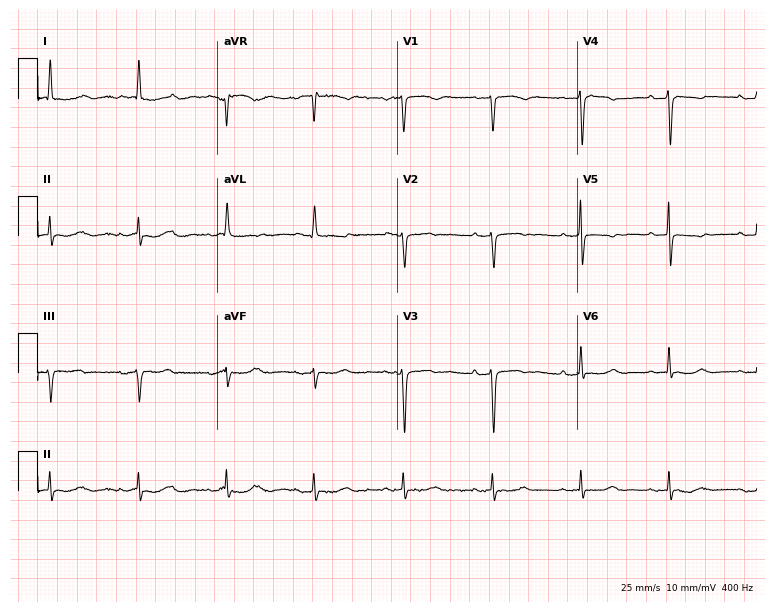
Standard 12-lead ECG recorded from an 85-year-old female patient (7.3-second recording at 400 Hz). None of these six findings is recorded: first-degree AV block, right bundle branch block, left bundle branch block, sinus bradycardia, atrial fibrillation, sinus tachycardia. Only these six findings were labelled.